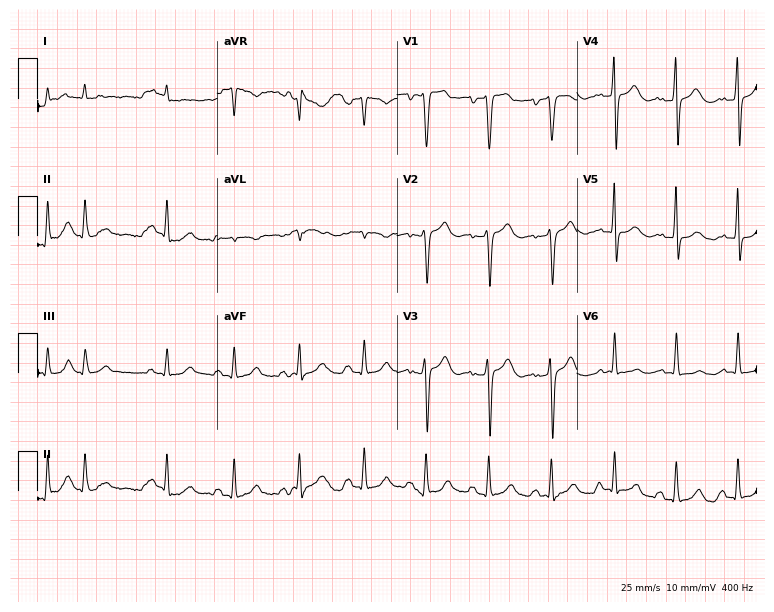
Standard 12-lead ECG recorded from a male patient, 83 years old. None of these six findings is recorded: first-degree AV block, right bundle branch block, left bundle branch block, sinus bradycardia, atrial fibrillation, sinus tachycardia.